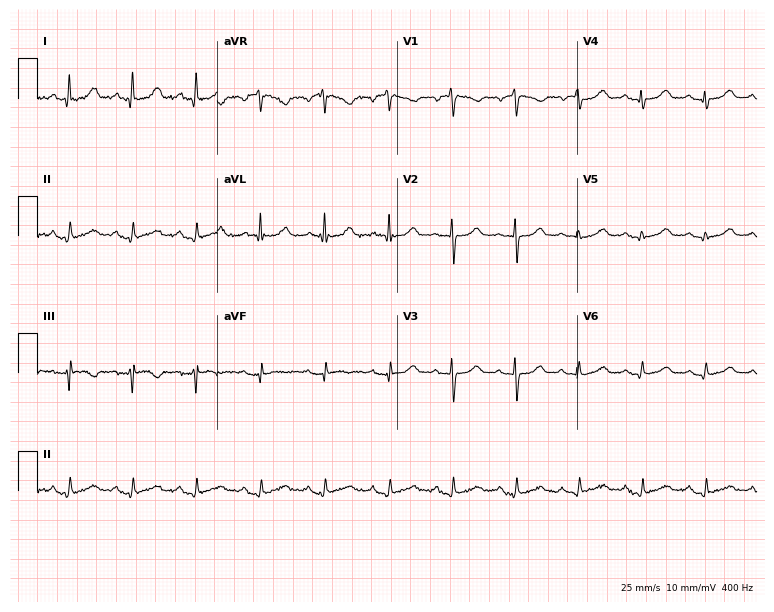
ECG (7.3-second recording at 400 Hz) — a female patient, 79 years old. Labelled as a normal ECG.